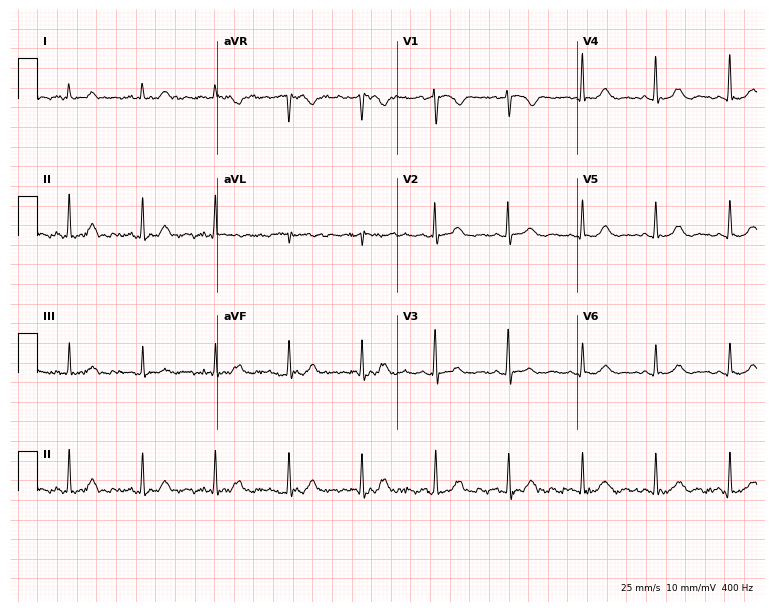
12-lead ECG (7.3-second recording at 400 Hz) from a female patient, 77 years old. Labelled as a normal ECG.